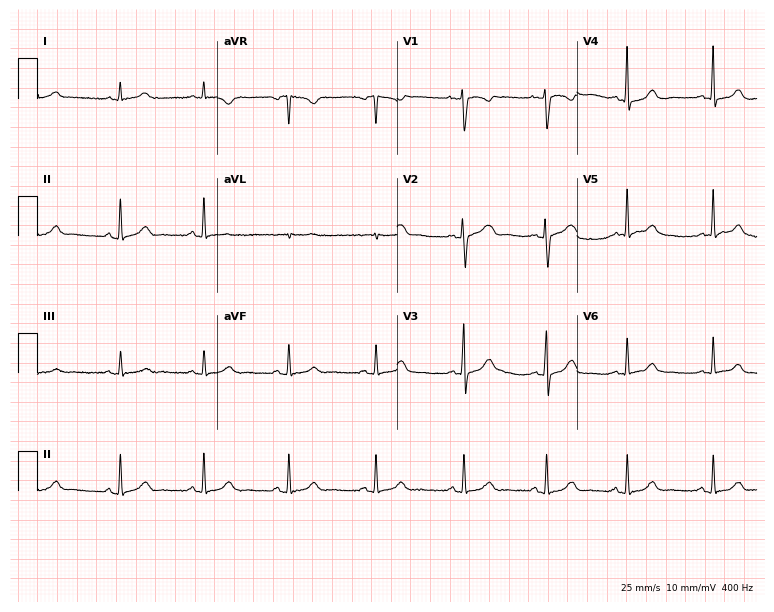
Resting 12-lead electrocardiogram (7.3-second recording at 400 Hz). Patient: a female, 57 years old. Read as a normal ECG.